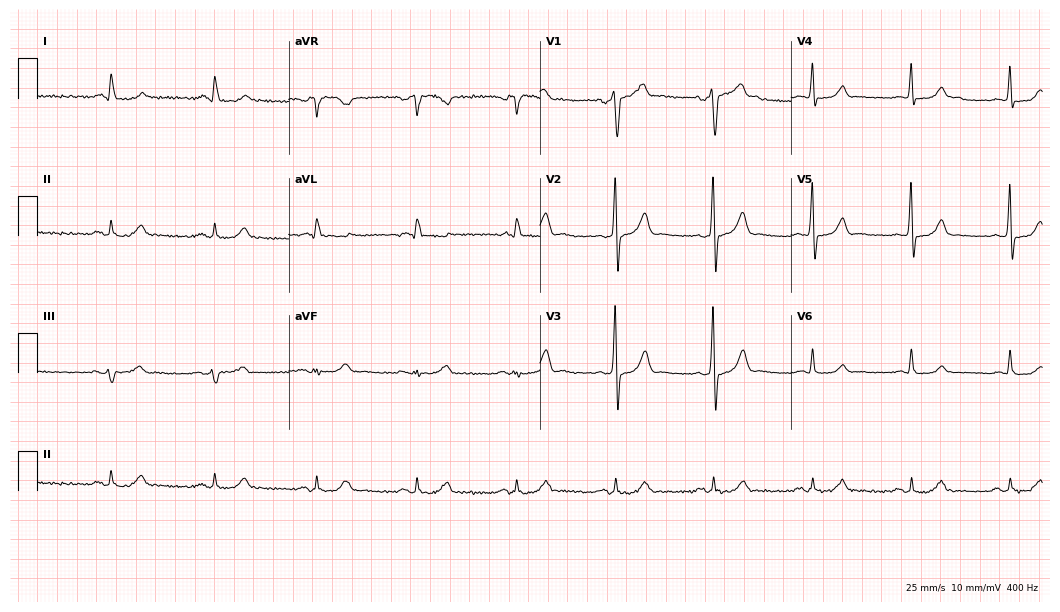
12-lead ECG (10.2-second recording at 400 Hz) from an 85-year-old male patient. Labelled as a normal ECG.